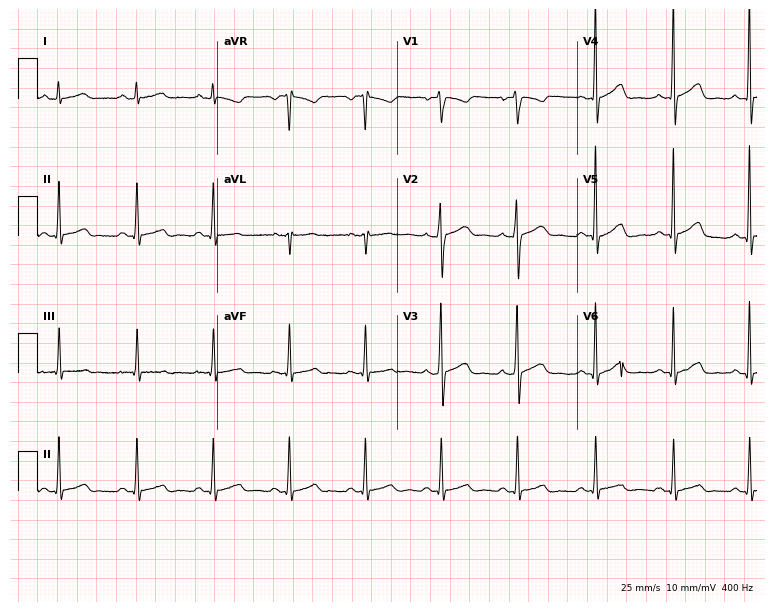
Standard 12-lead ECG recorded from a male, 35 years old. Read as a normal ECG.